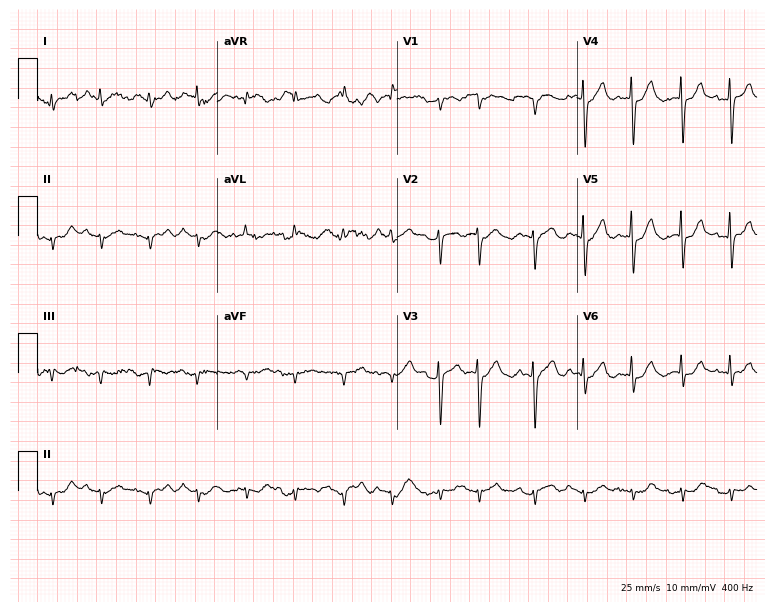
12-lead ECG from an 83-year-old male patient (7.3-second recording at 400 Hz). No first-degree AV block, right bundle branch block (RBBB), left bundle branch block (LBBB), sinus bradycardia, atrial fibrillation (AF) or sinus tachycardia recorded for this tracing.